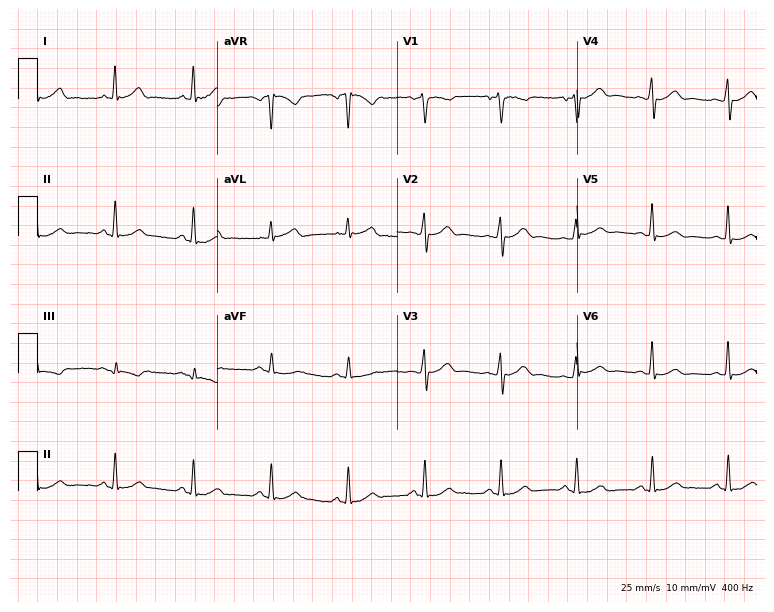
Standard 12-lead ECG recorded from a male, 51 years old. None of these six findings is recorded: first-degree AV block, right bundle branch block, left bundle branch block, sinus bradycardia, atrial fibrillation, sinus tachycardia. Findings outside these six are not listed.